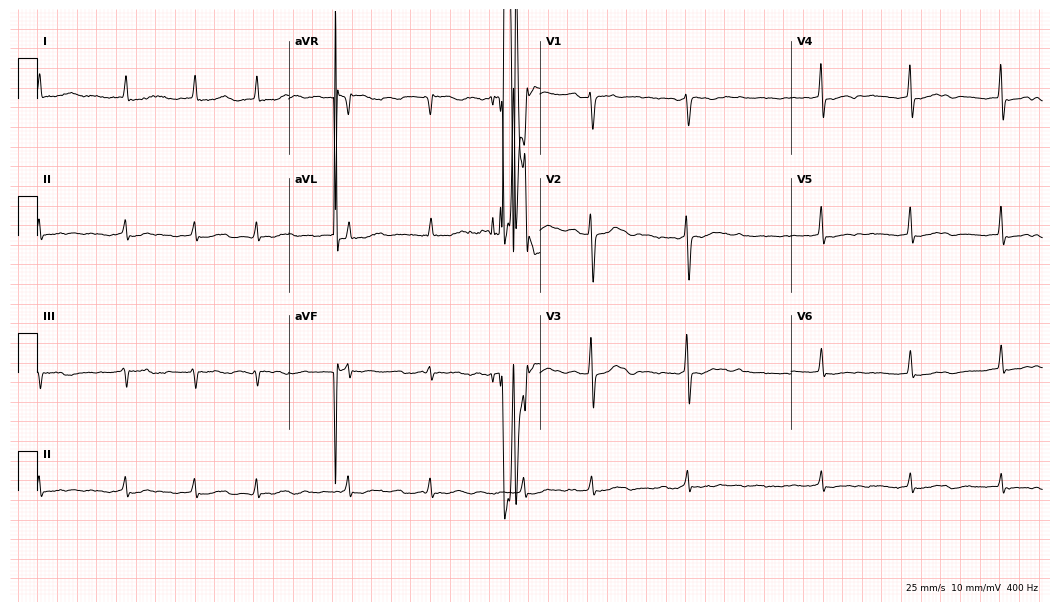
ECG — a woman, 77 years old. Findings include atrial fibrillation (AF).